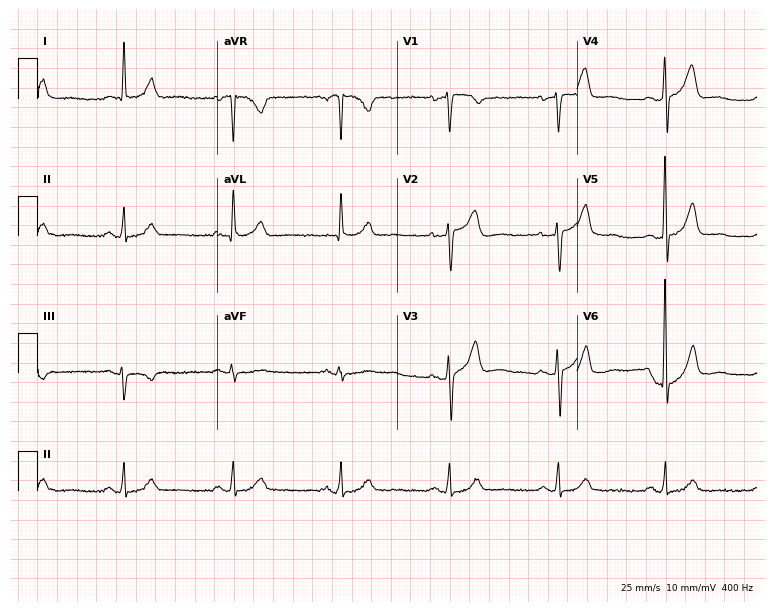
12-lead ECG from a 62-year-old male patient. Screened for six findings — first-degree AV block, right bundle branch block (RBBB), left bundle branch block (LBBB), sinus bradycardia, atrial fibrillation (AF), sinus tachycardia — none is recorded. Only these six findings were labelled.